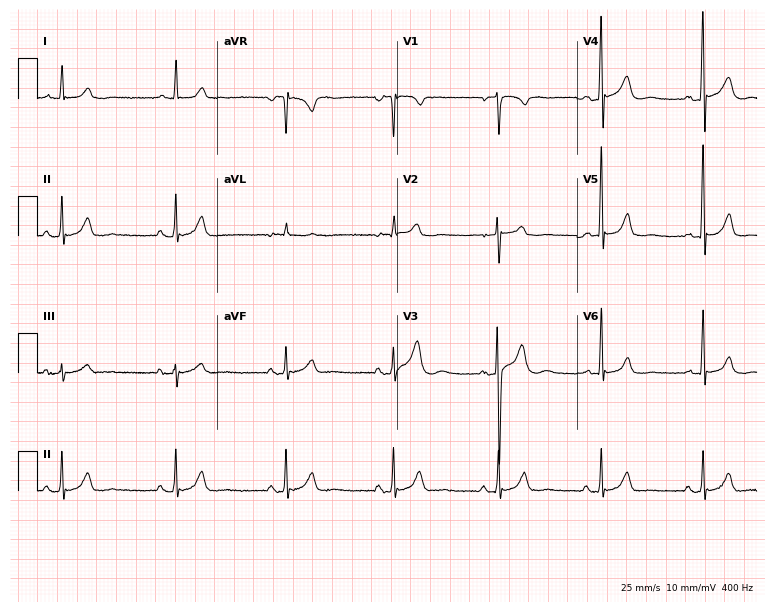
ECG — a male patient, 42 years old. Screened for six findings — first-degree AV block, right bundle branch block, left bundle branch block, sinus bradycardia, atrial fibrillation, sinus tachycardia — none is recorded. Only these six findings were labelled.